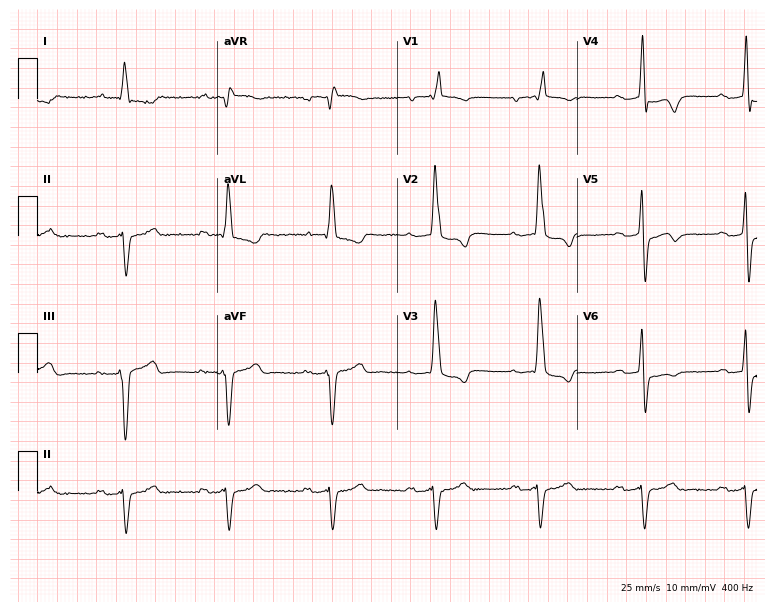
Resting 12-lead electrocardiogram (7.3-second recording at 400 Hz). Patient: an 85-year-old male. The tracing shows first-degree AV block, right bundle branch block.